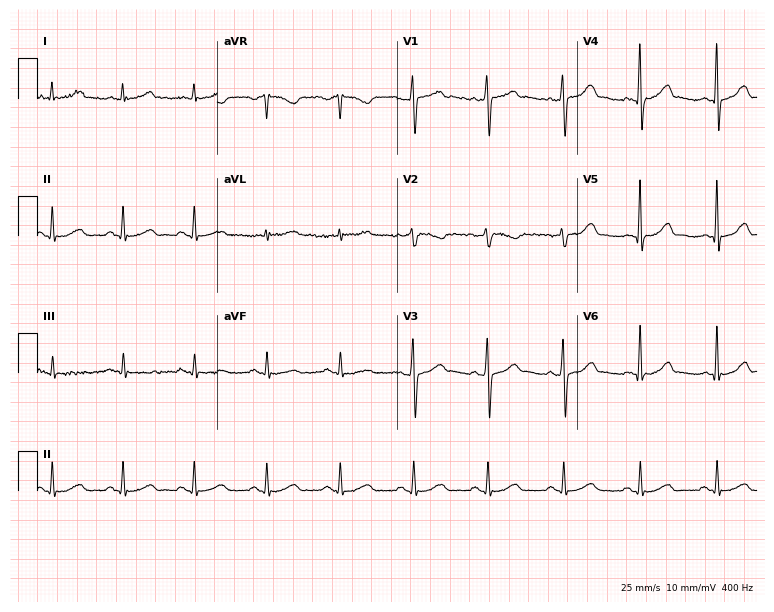
Electrocardiogram, a 61-year-old male patient. Overall reading on record: normal ECG.